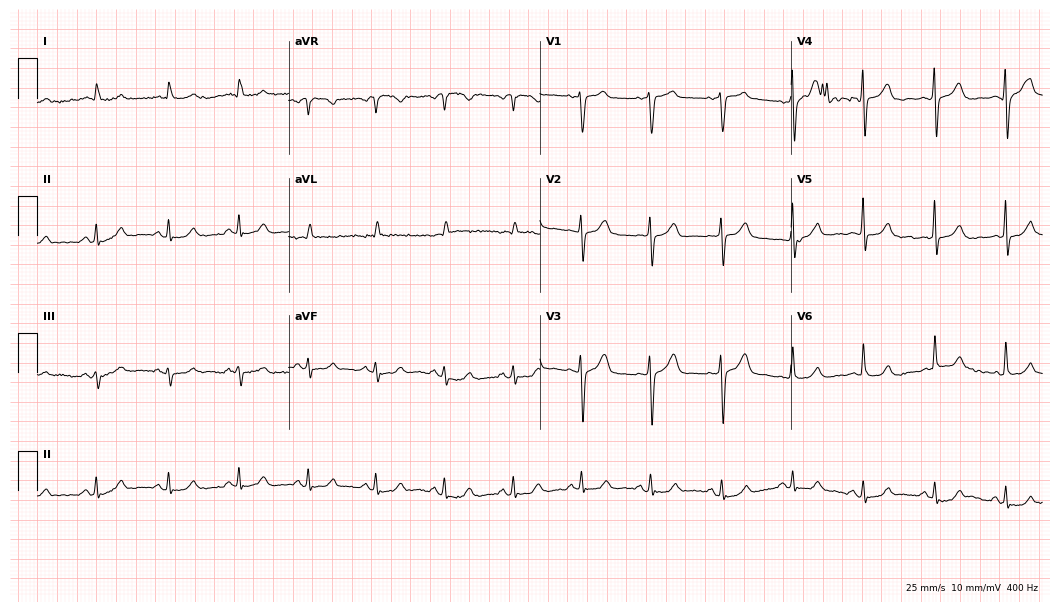
Electrocardiogram (10.2-second recording at 400 Hz), an 81-year-old man. Of the six screened findings (first-degree AV block, right bundle branch block, left bundle branch block, sinus bradycardia, atrial fibrillation, sinus tachycardia), none is recorded.